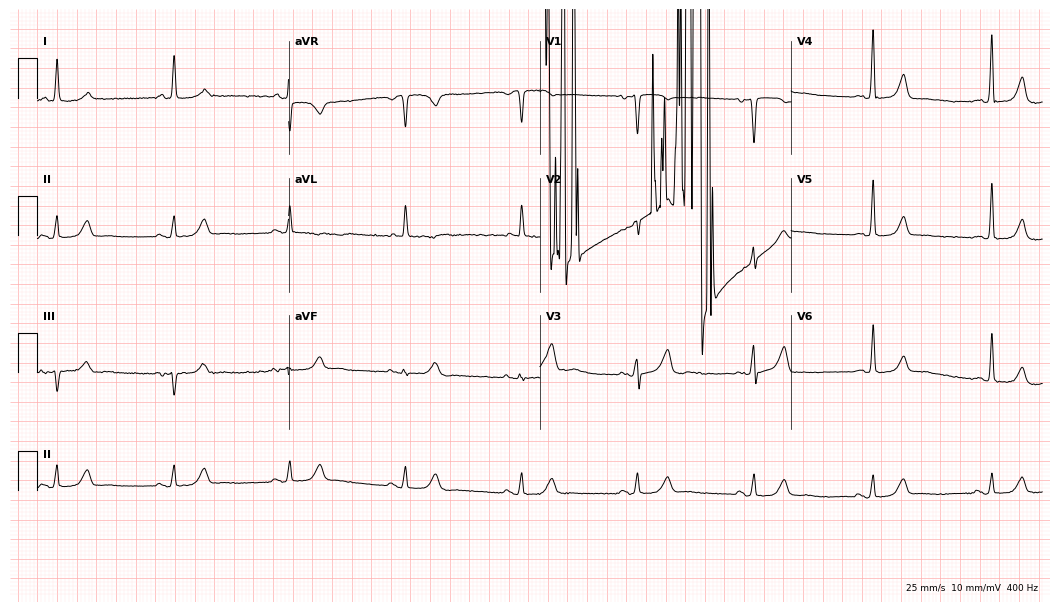
Electrocardiogram (10.2-second recording at 400 Hz), a woman, 73 years old. Interpretation includes sinus tachycardia (a sinus rate of 100 beats per minute or more).